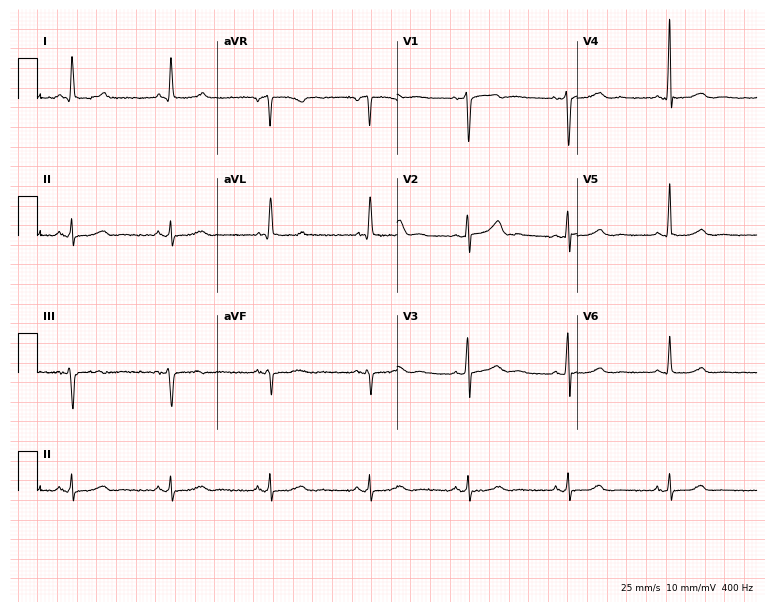
Electrocardiogram (7.3-second recording at 400 Hz), a 71-year-old female patient. Overall reading on record: normal ECG.